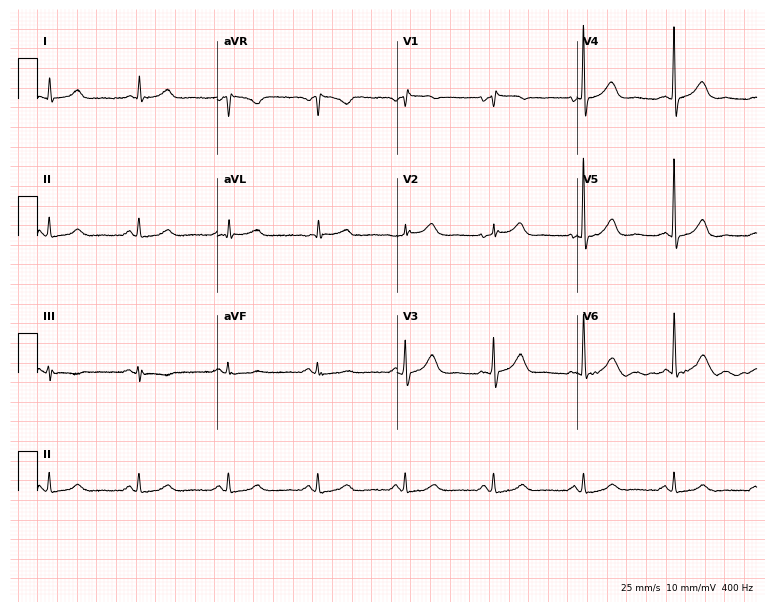
Electrocardiogram, a female, 80 years old. Overall reading on record: normal ECG.